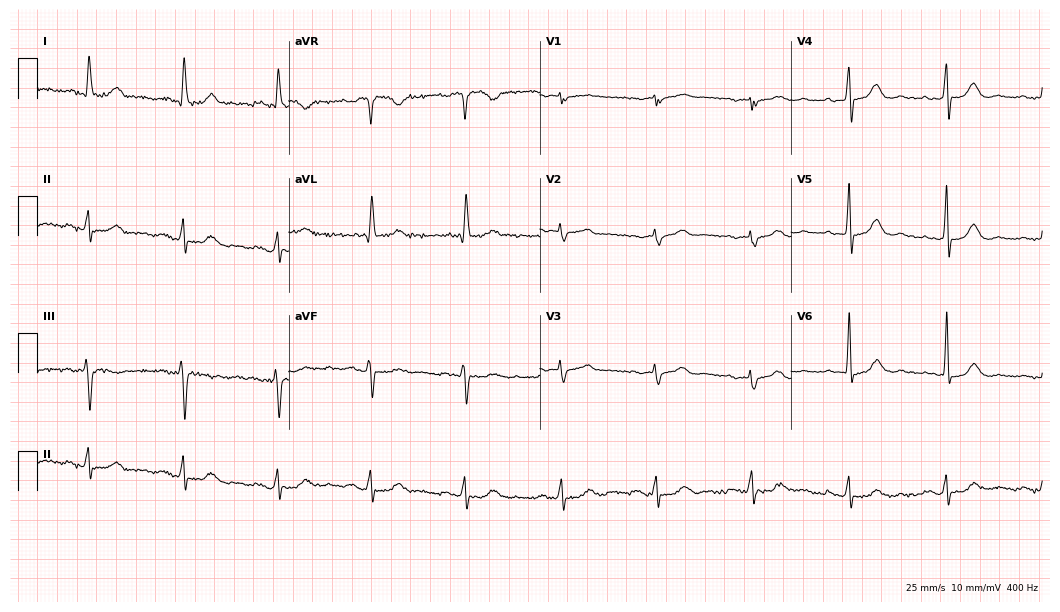
Standard 12-lead ECG recorded from a female, 69 years old. None of these six findings is recorded: first-degree AV block, right bundle branch block (RBBB), left bundle branch block (LBBB), sinus bradycardia, atrial fibrillation (AF), sinus tachycardia. Only these six findings were labelled.